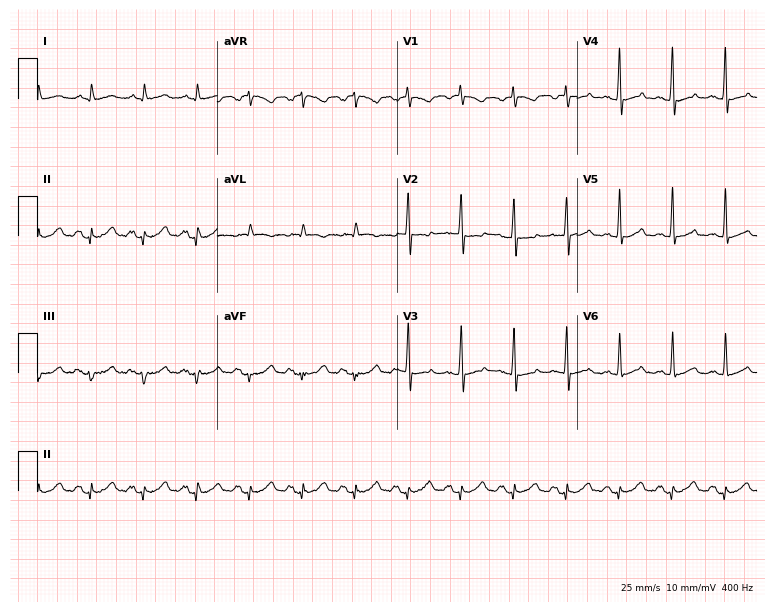
Resting 12-lead electrocardiogram. Patient: a man, 72 years old. The tracing shows sinus tachycardia (a sinus rate of 100 beats per minute or more).